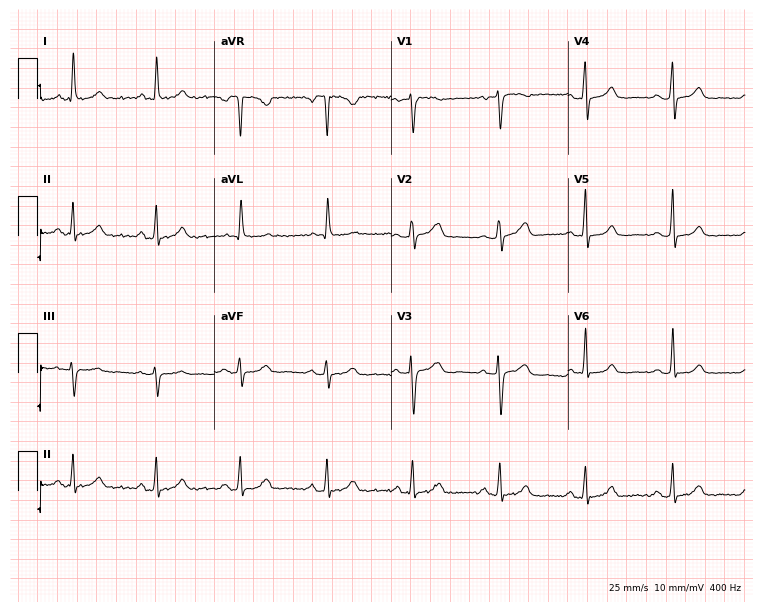
Resting 12-lead electrocardiogram. Patient: a 57-year-old female. None of these six findings is recorded: first-degree AV block, right bundle branch block, left bundle branch block, sinus bradycardia, atrial fibrillation, sinus tachycardia. Other findings, if any, are not listed.